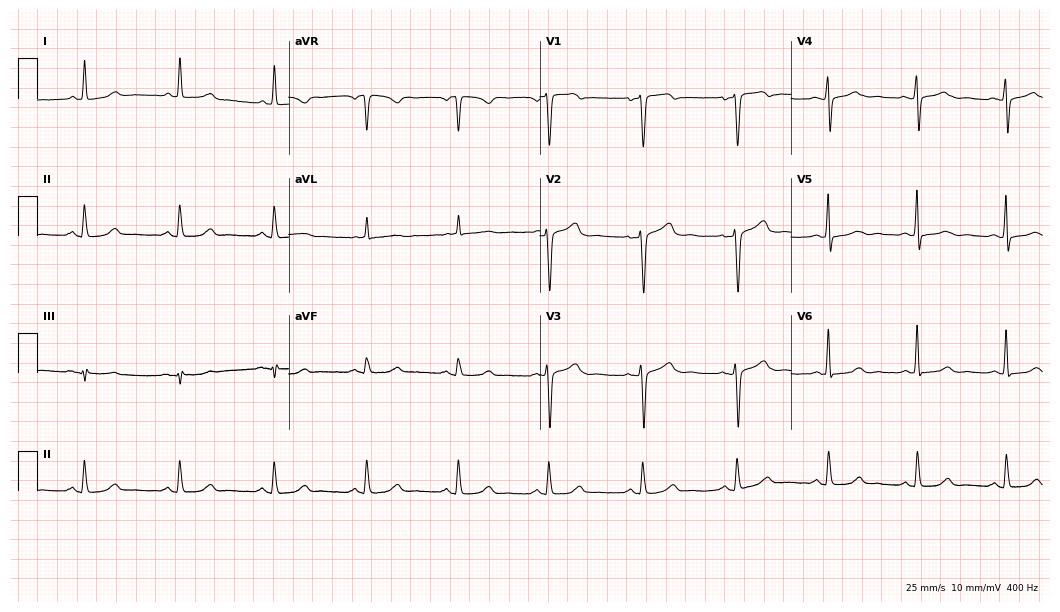
12-lead ECG (10.2-second recording at 400 Hz) from a female, 65 years old. Labelled as a normal ECG.